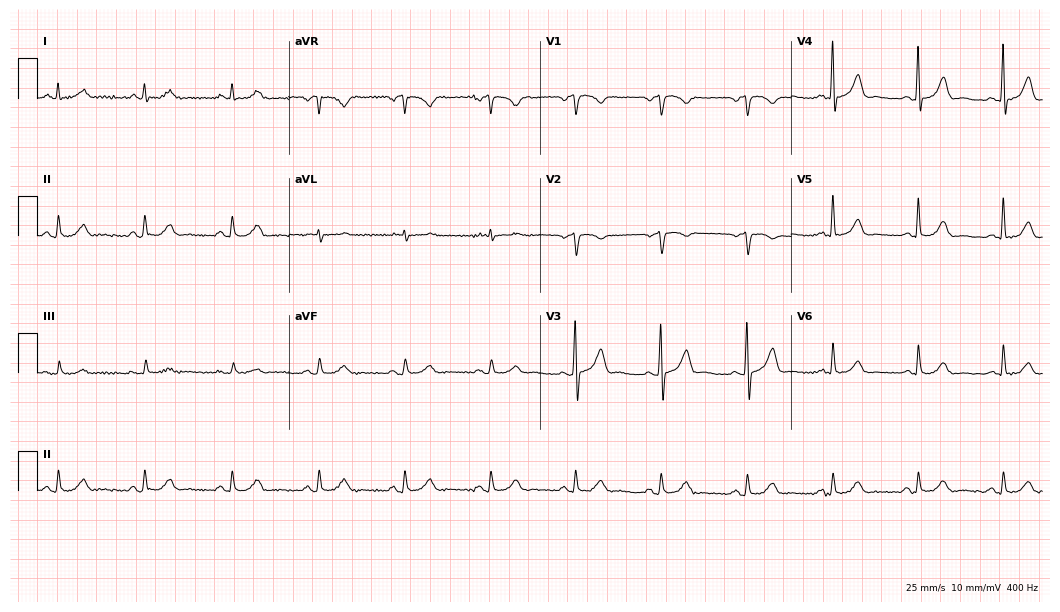
12-lead ECG (10.2-second recording at 400 Hz) from a man, 63 years old. Labelled as a normal ECG.